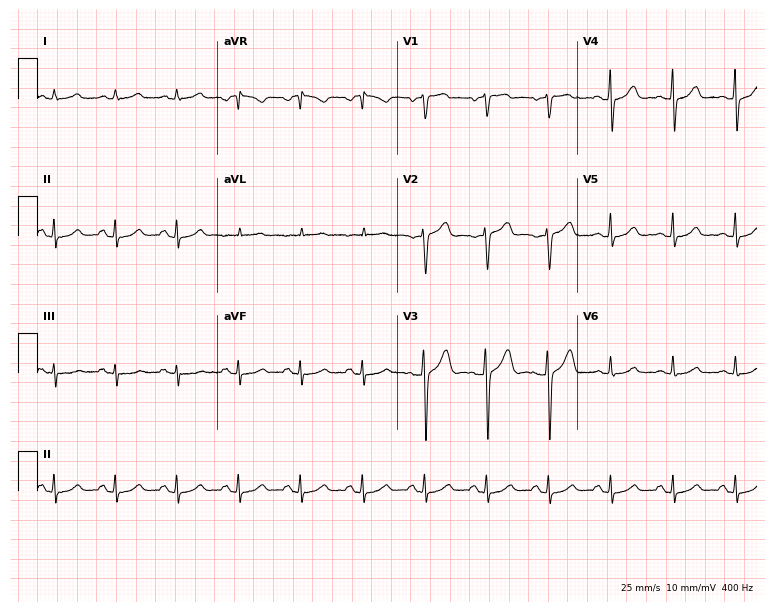
Resting 12-lead electrocardiogram (7.3-second recording at 400 Hz). Patient: a 60-year-old woman. Read as a normal ECG.